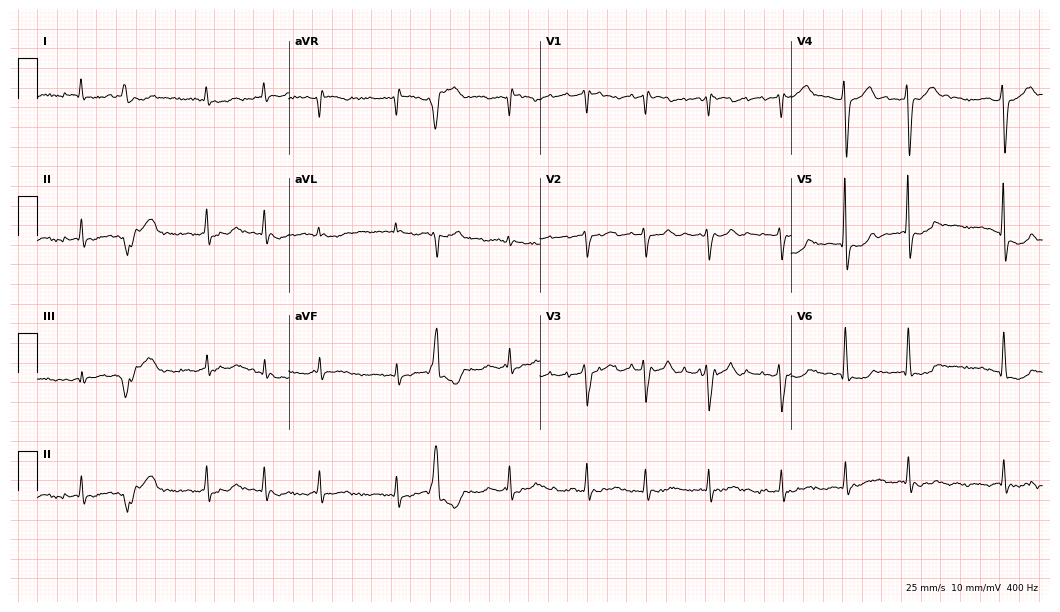
12-lead ECG (10.2-second recording at 400 Hz) from a male patient, 83 years old. Findings include atrial fibrillation (AF).